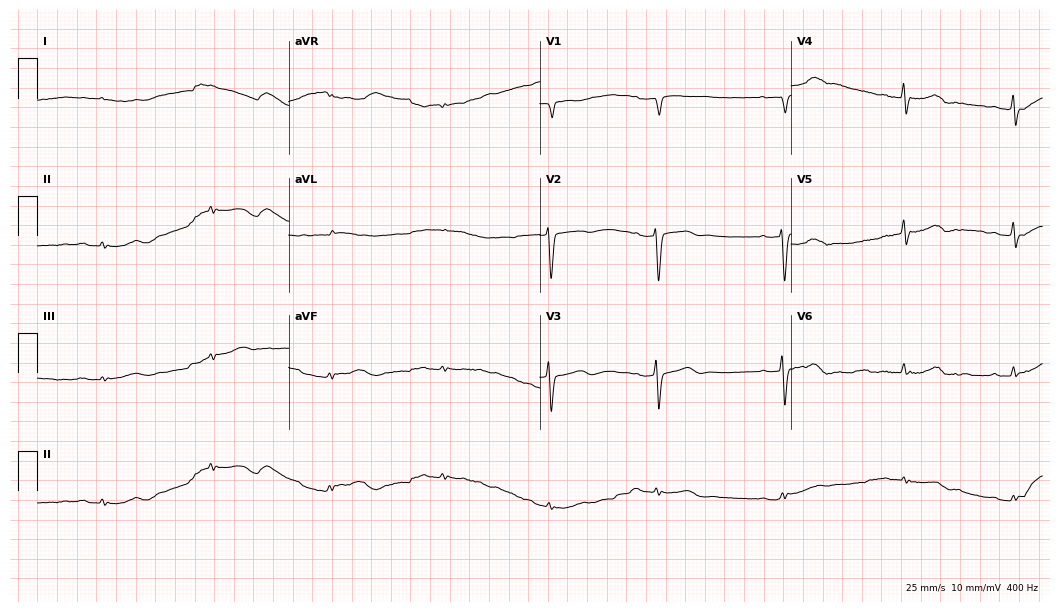
12-lead ECG from a male, 73 years old. No first-degree AV block, right bundle branch block (RBBB), left bundle branch block (LBBB), sinus bradycardia, atrial fibrillation (AF) or sinus tachycardia recorded for this tracing.